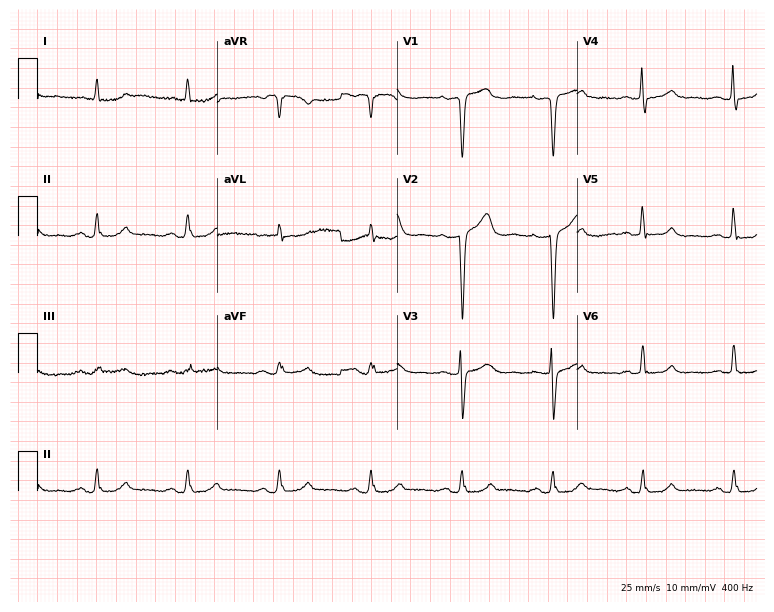
Resting 12-lead electrocardiogram (7.3-second recording at 400 Hz). Patient: a male, 74 years old. None of these six findings is recorded: first-degree AV block, right bundle branch block, left bundle branch block, sinus bradycardia, atrial fibrillation, sinus tachycardia.